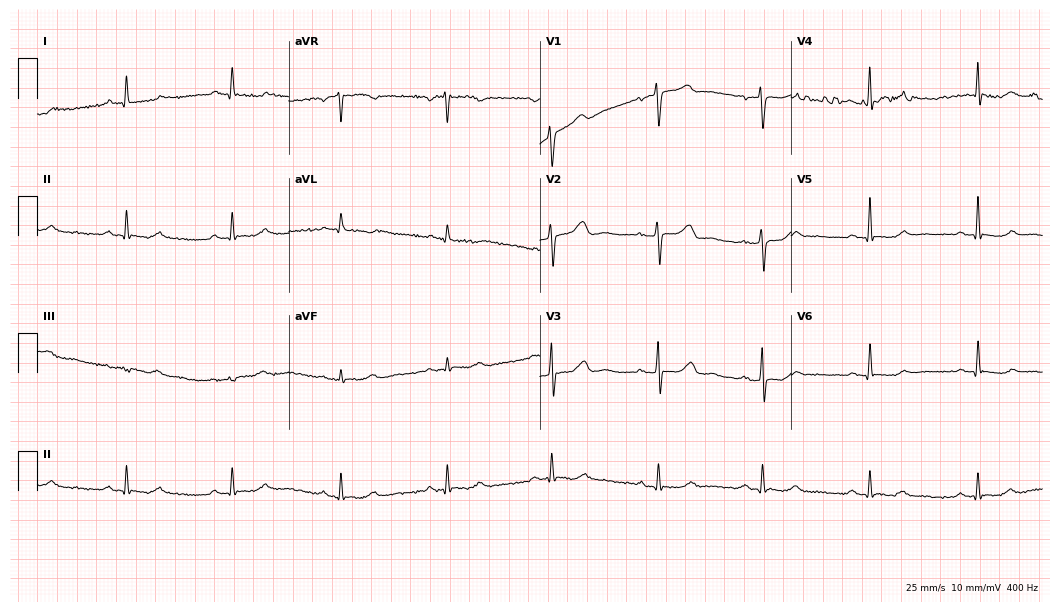
12-lead ECG from a 57-year-old female patient. Screened for six findings — first-degree AV block, right bundle branch block, left bundle branch block, sinus bradycardia, atrial fibrillation, sinus tachycardia — none is recorded. Other findings, if any, are not listed.